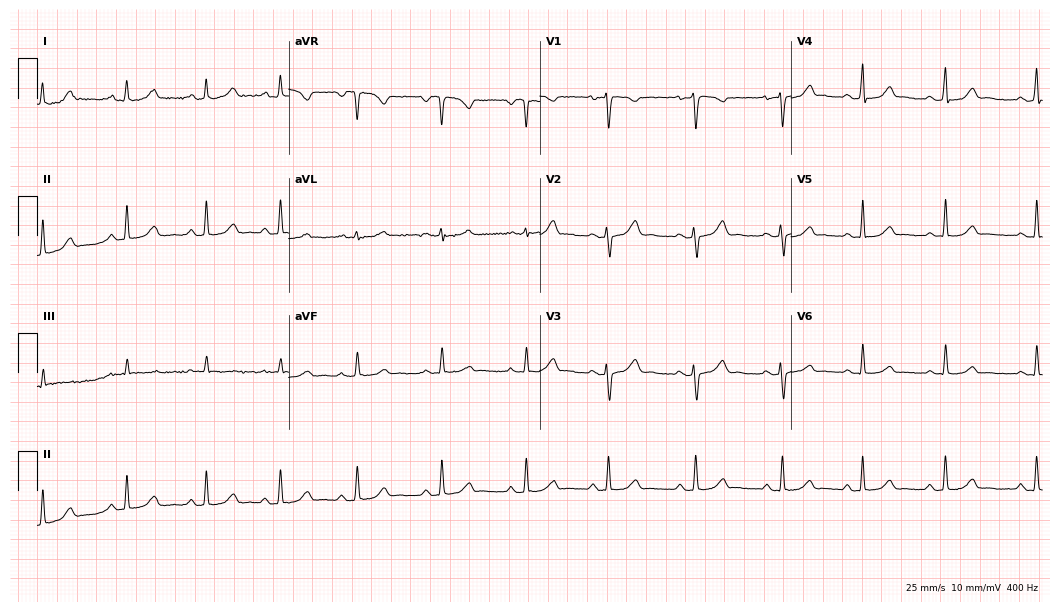
Standard 12-lead ECG recorded from a female, 27 years old. Read as a normal ECG.